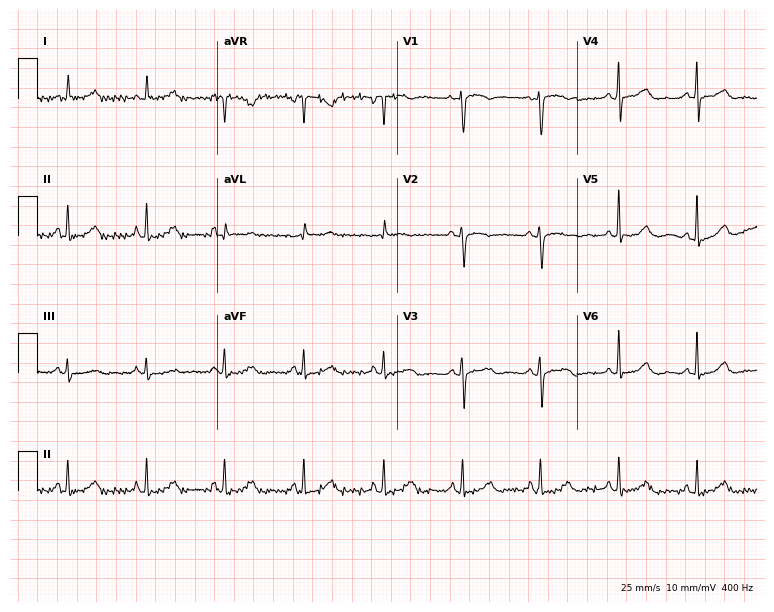
ECG (7.3-second recording at 400 Hz) — a 69-year-old female patient. Labelled as a normal ECG.